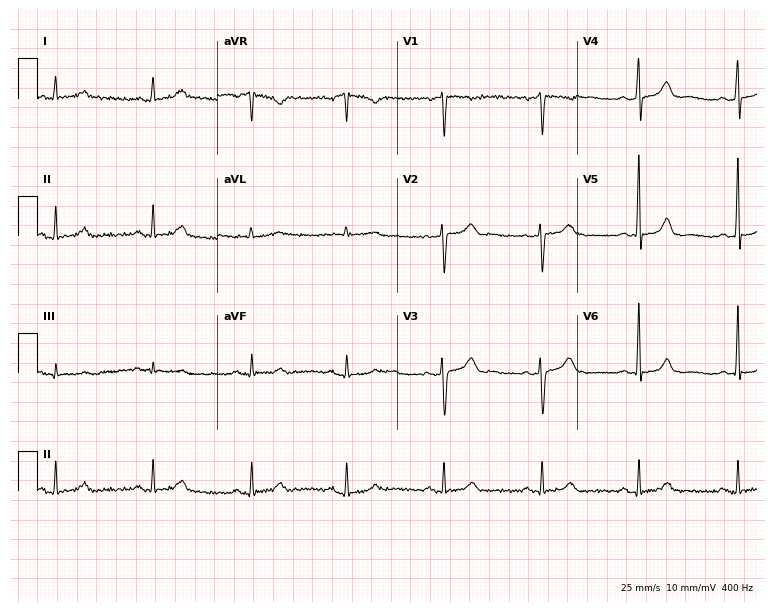
Electrocardiogram, a man, 73 years old. Overall reading on record: normal ECG.